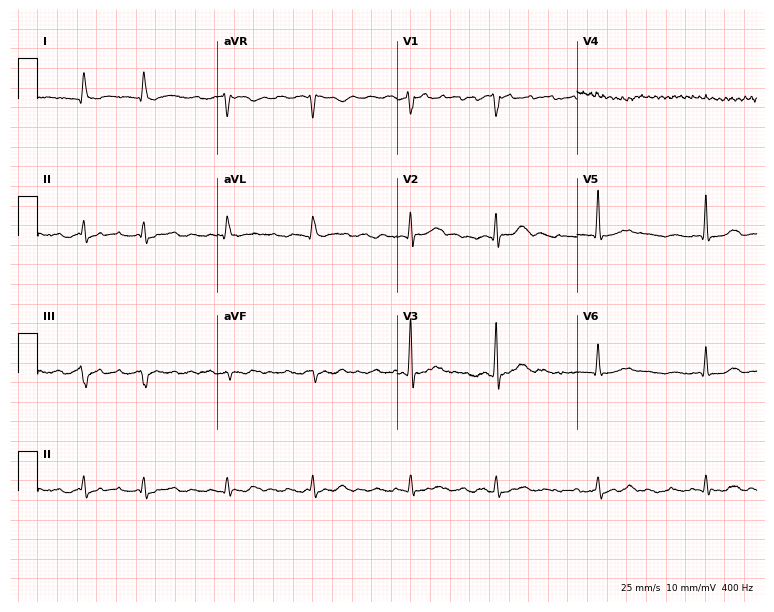
Standard 12-lead ECG recorded from a 66-year-old male patient. None of these six findings is recorded: first-degree AV block, right bundle branch block (RBBB), left bundle branch block (LBBB), sinus bradycardia, atrial fibrillation (AF), sinus tachycardia.